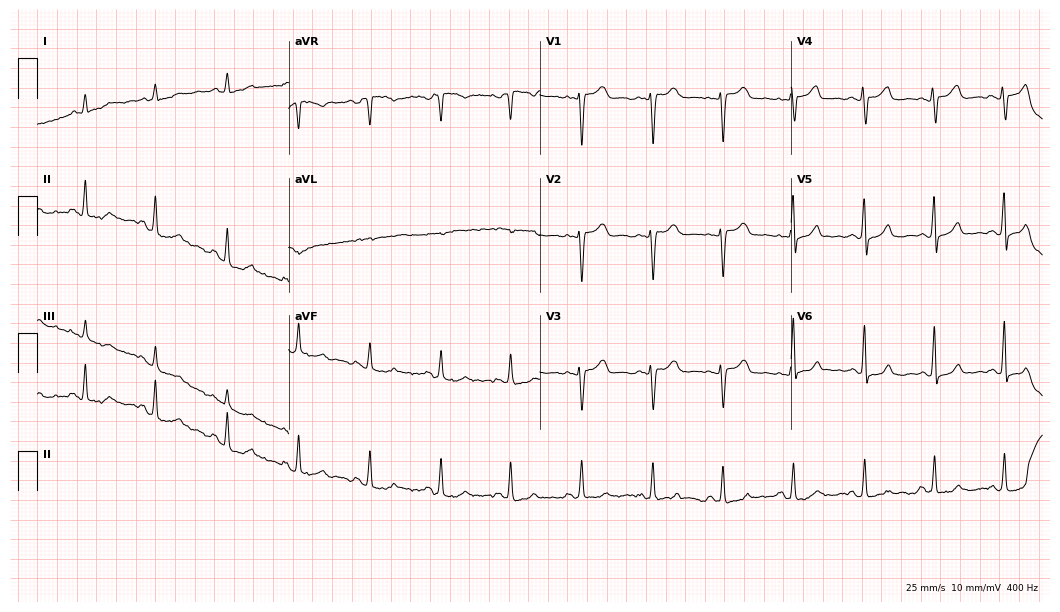
12-lead ECG (10.2-second recording at 400 Hz) from a woman, 56 years old. Screened for six findings — first-degree AV block, right bundle branch block (RBBB), left bundle branch block (LBBB), sinus bradycardia, atrial fibrillation (AF), sinus tachycardia — none is recorded. Findings outside these six are not listed.